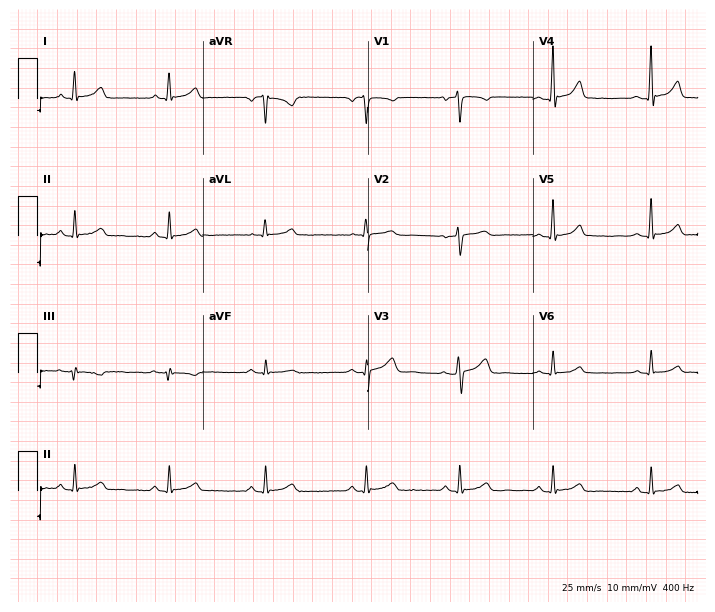
Standard 12-lead ECG recorded from a 46-year-old female patient. None of these six findings is recorded: first-degree AV block, right bundle branch block, left bundle branch block, sinus bradycardia, atrial fibrillation, sinus tachycardia. Other findings, if any, are not listed.